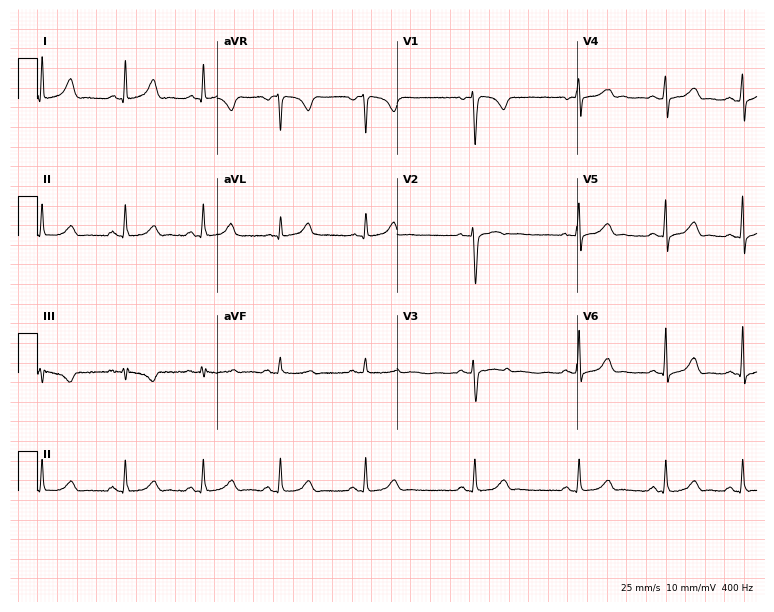
Standard 12-lead ECG recorded from a female, 39 years old. Read as a normal ECG.